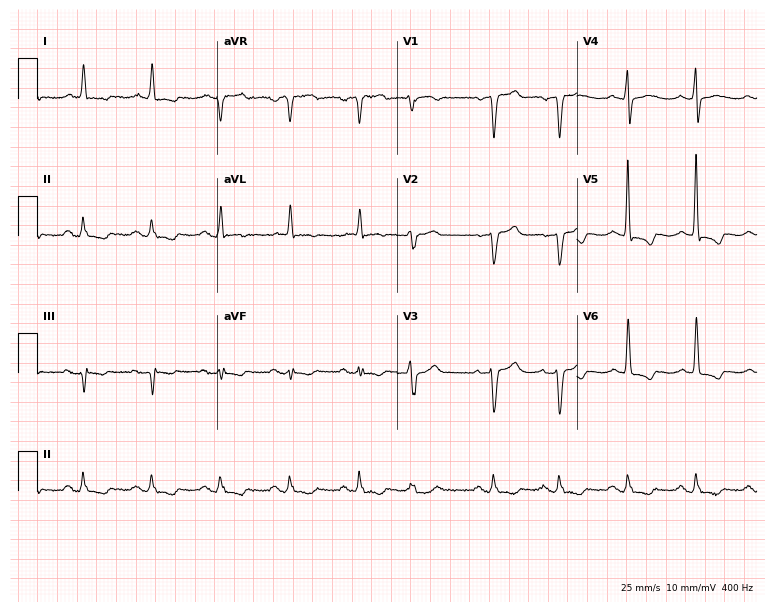
ECG (7.3-second recording at 400 Hz) — a female, 78 years old. Labelled as a normal ECG.